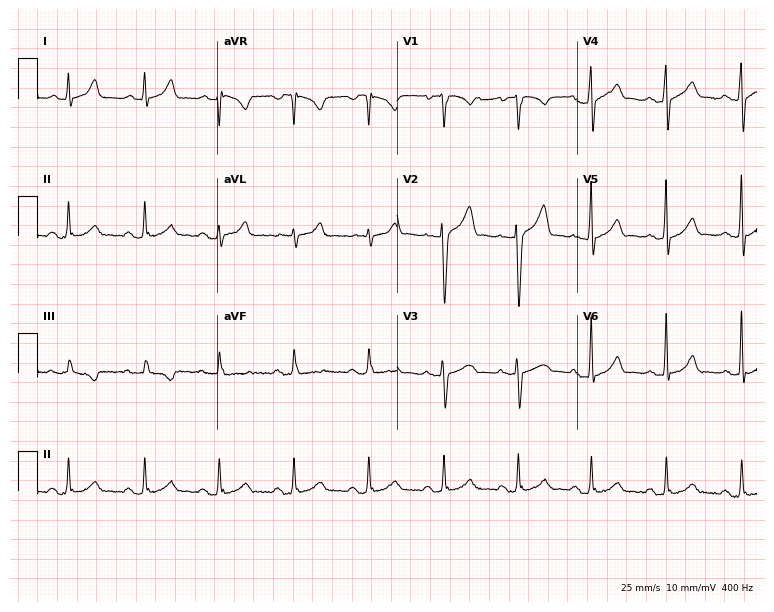
ECG (7.3-second recording at 400 Hz) — a 49-year-old male. Labelled as a normal ECG.